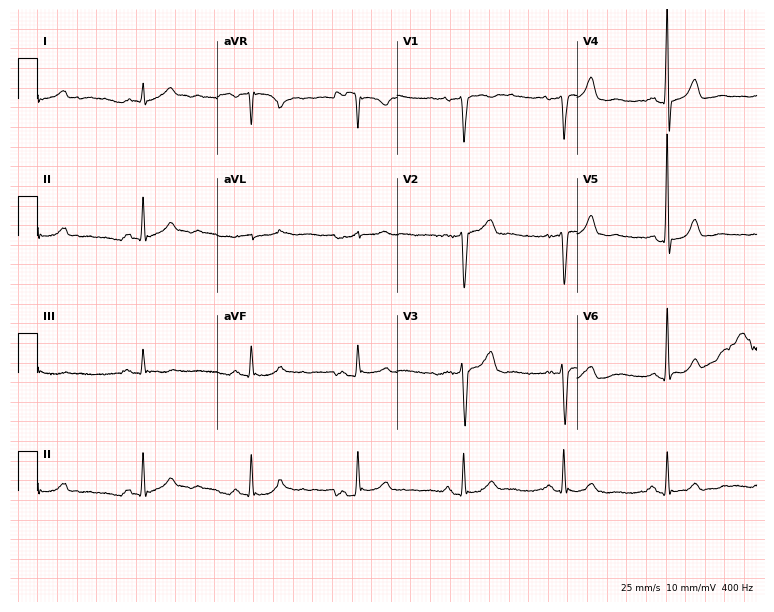
12-lead ECG from a man, 58 years old (7.3-second recording at 400 Hz). Recorded interpretation: within normal limits.